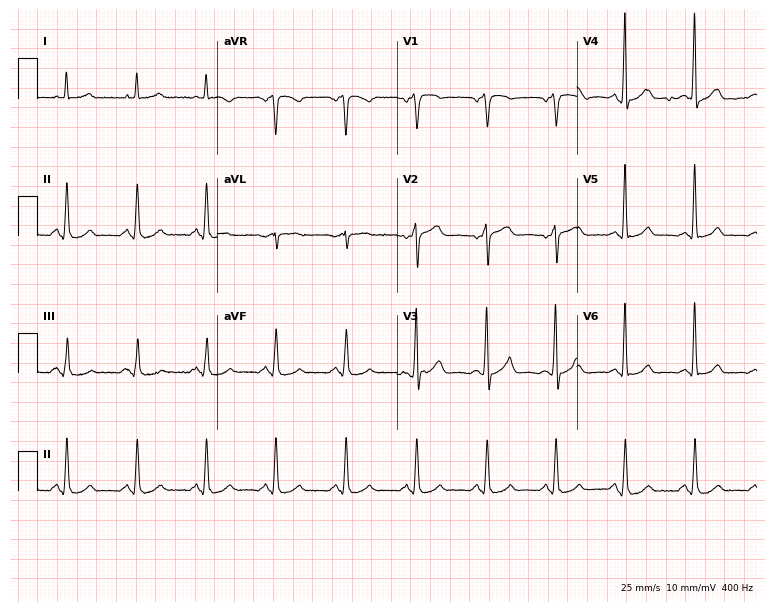
Resting 12-lead electrocardiogram (7.3-second recording at 400 Hz). Patient: a 69-year-old man. None of these six findings is recorded: first-degree AV block, right bundle branch block (RBBB), left bundle branch block (LBBB), sinus bradycardia, atrial fibrillation (AF), sinus tachycardia. Only these six findings were labelled.